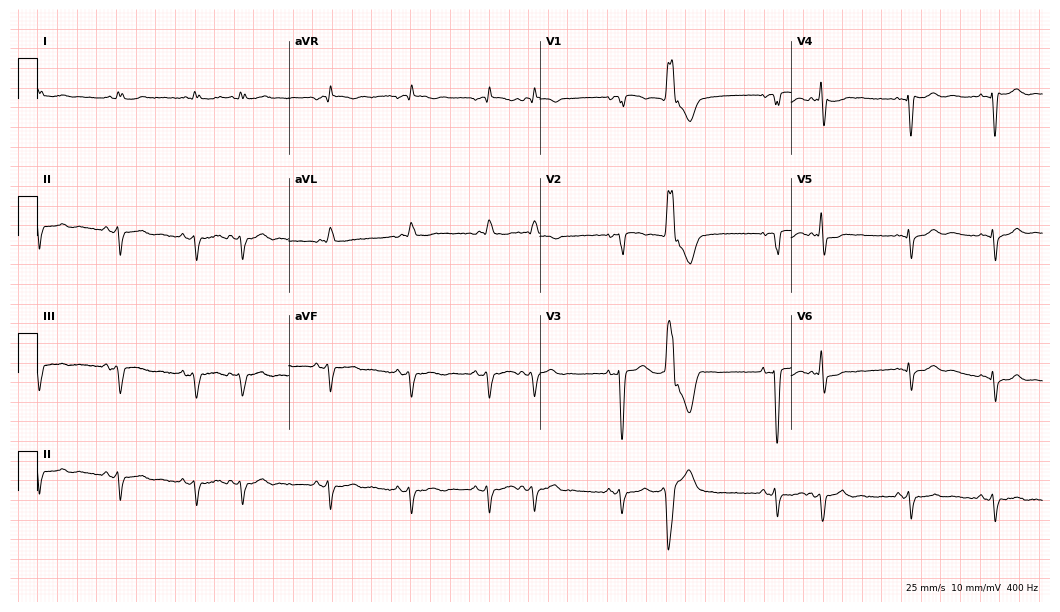
12-lead ECG from a male, 68 years old. No first-degree AV block, right bundle branch block, left bundle branch block, sinus bradycardia, atrial fibrillation or sinus tachycardia recorded for this tracing.